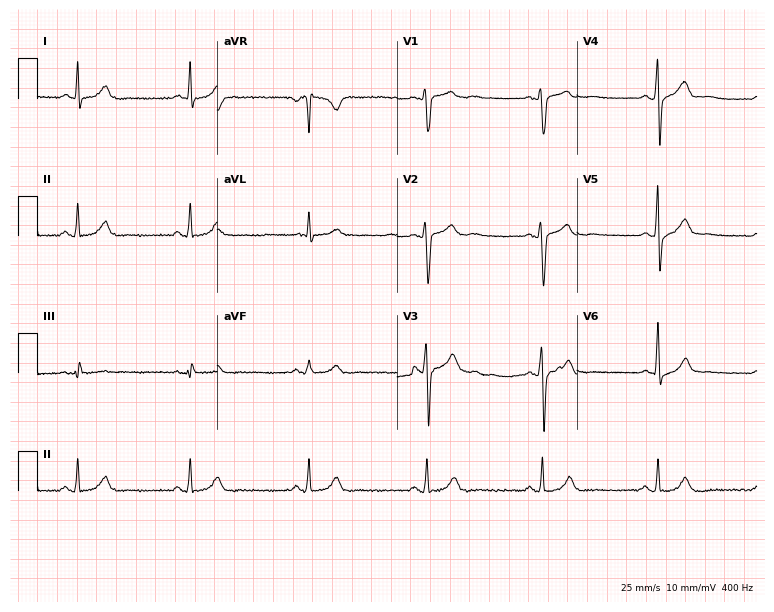
Standard 12-lead ECG recorded from a 41-year-old male (7.3-second recording at 400 Hz). Read as a normal ECG.